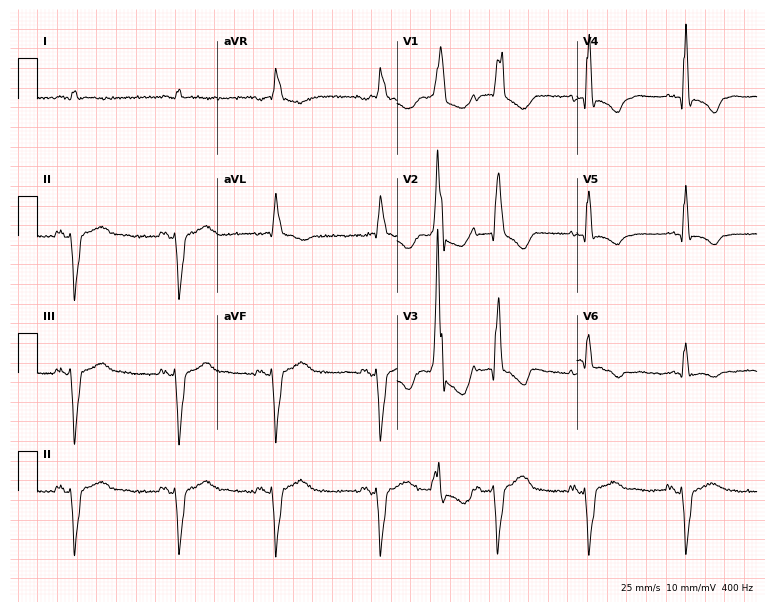
Standard 12-lead ECG recorded from a male patient, 77 years old (7.3-second recording at 400 Hz). The tracing shows right bundle branch block.